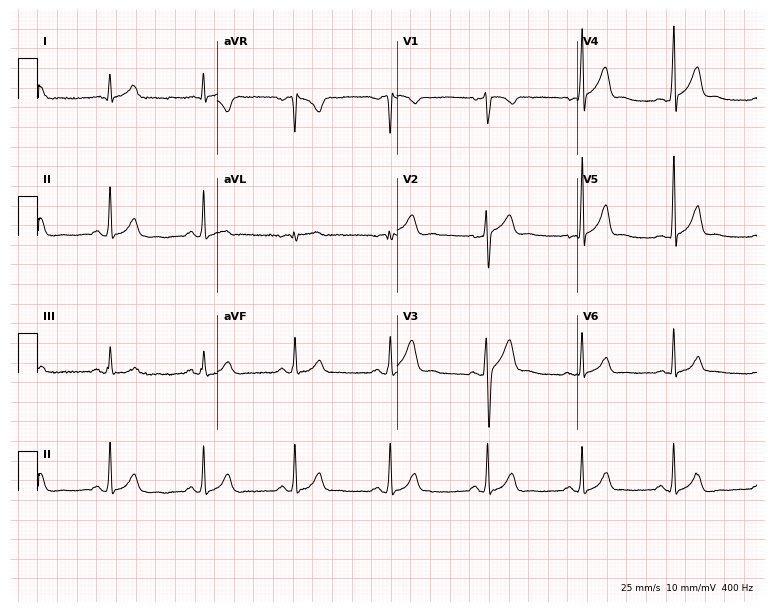
12-lead ECG (7.3-second recording at 400 Hz) from a 31-year-old man. Labelled as a normal ECG.